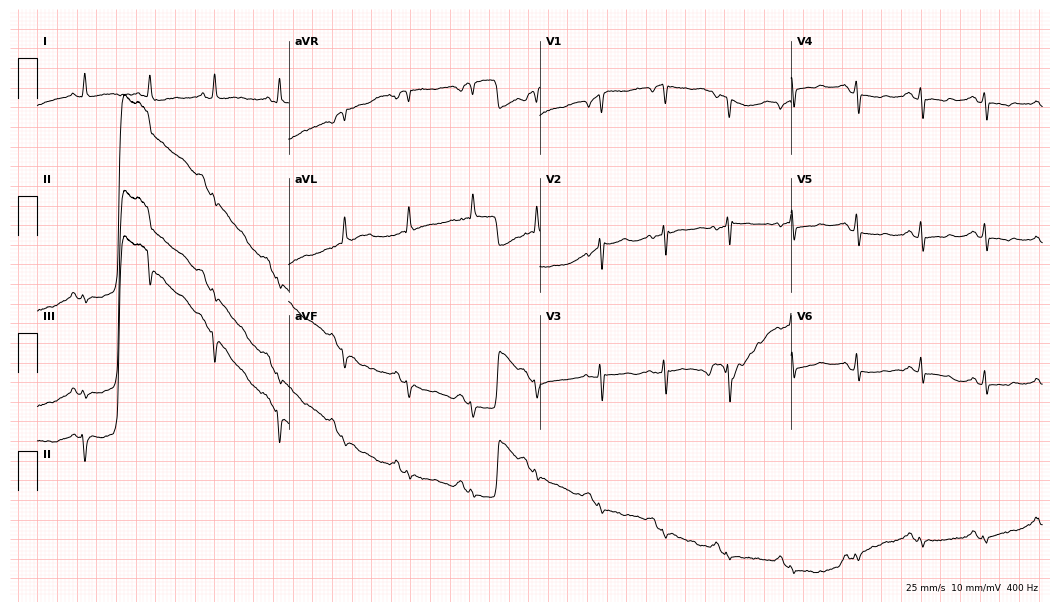
12-lead ECG from a female patient, 73 years old. No first-degree AV block, right bundle branch block, left bundle branch block, sinus bradycardia, atrial fibrillation or sinus tachycardia recorded for this tracing.